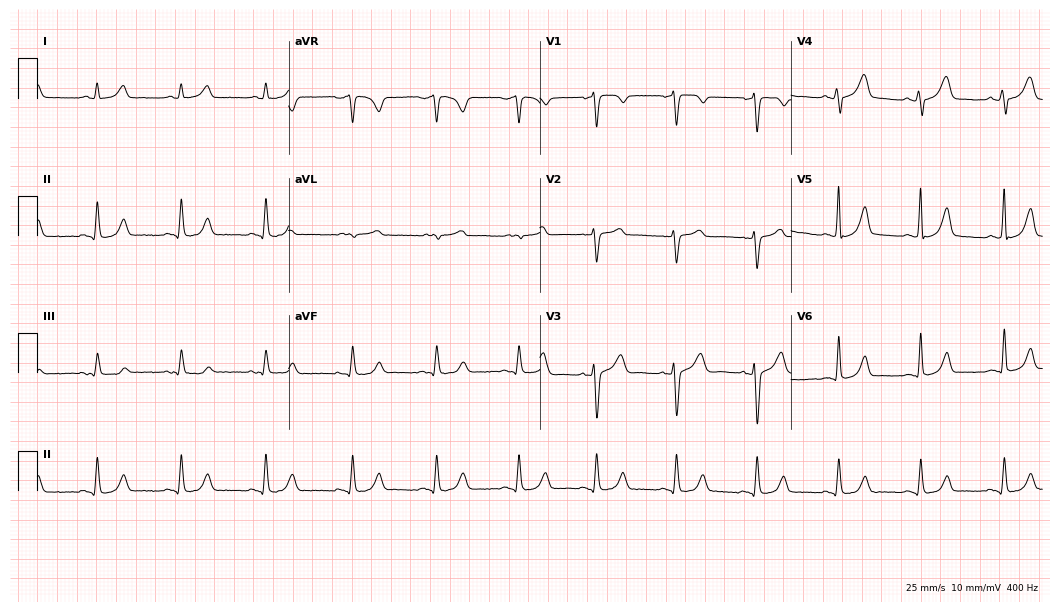
12-lead ECG from a 67-year-old female (10.2-second recording at 400 Hz). Recorded interpretation: within normal limits.